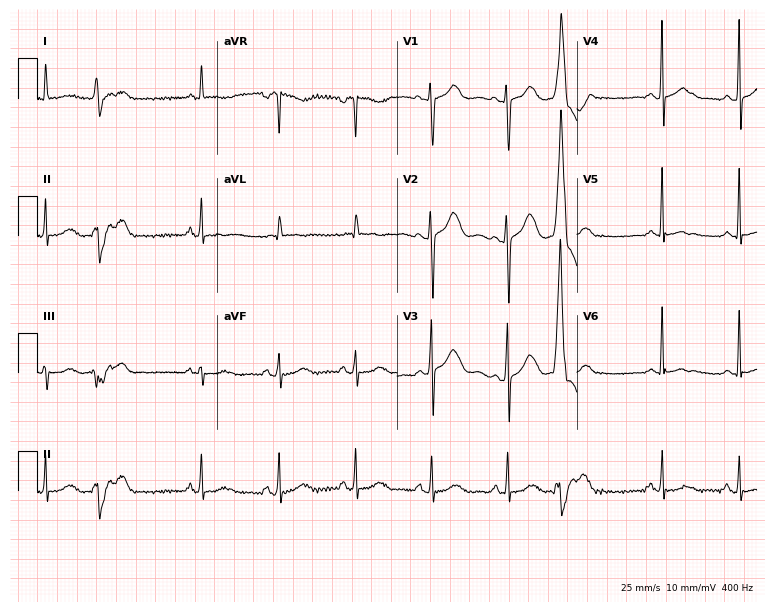
12-lead ECG from a female, 73 years old (7.3-second recording at 400 Hz). No first-degree AV block, right bundle branch block, left bundle branch block, sinus bradycardia, atrial fibrillation or sinus tachycardia recorded for this tracing.